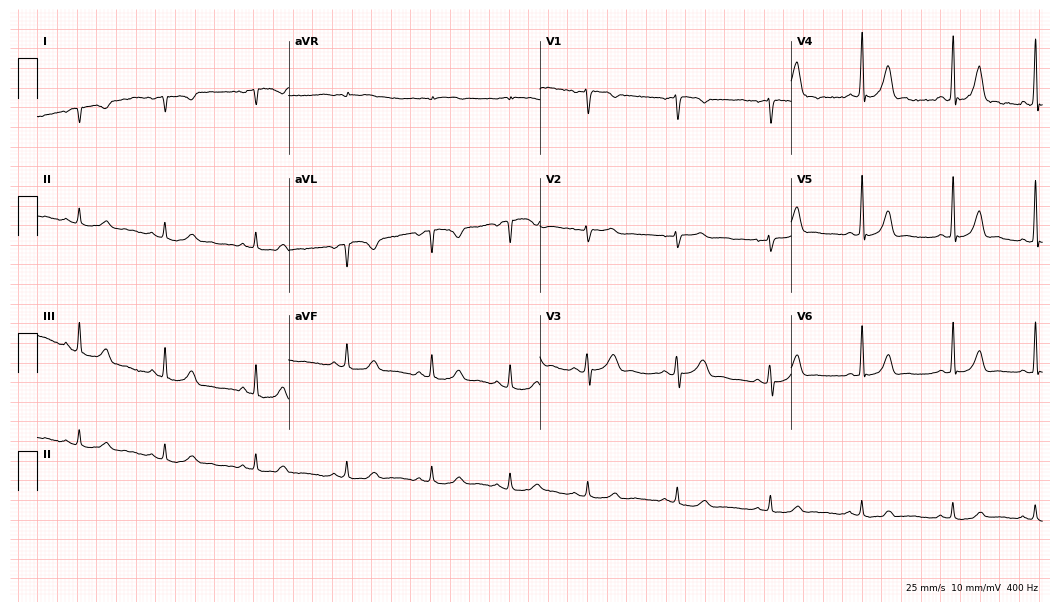
12-lead ECG from a female, 35 years old. No first-degree AV block, right bundle branch block (RBBB), left bundle branch block (LBBB), sinus bradycardia, atrial fibrillation (AF) or sinus tachycardia recorded for this tracing.